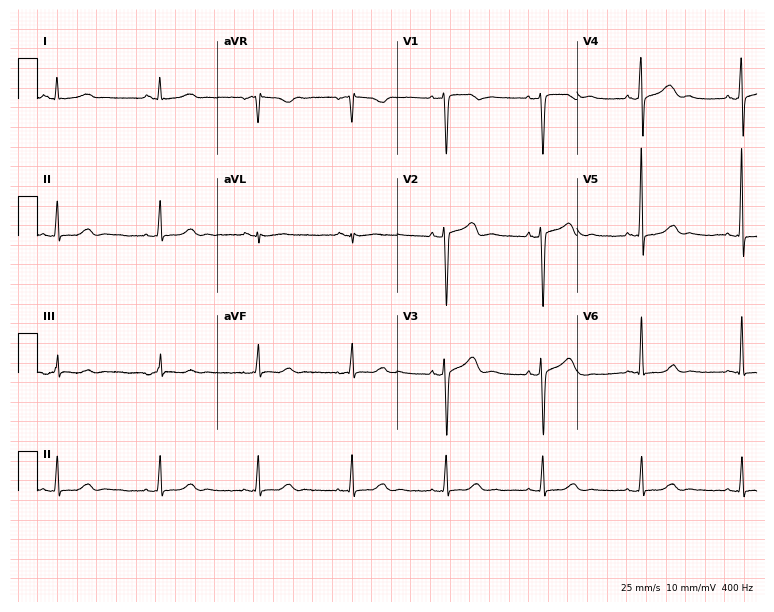
12-lead ECG from a woman, 54 years old (7.3-second recording at 400 Hz). Recorded interpretation: within normal limits.